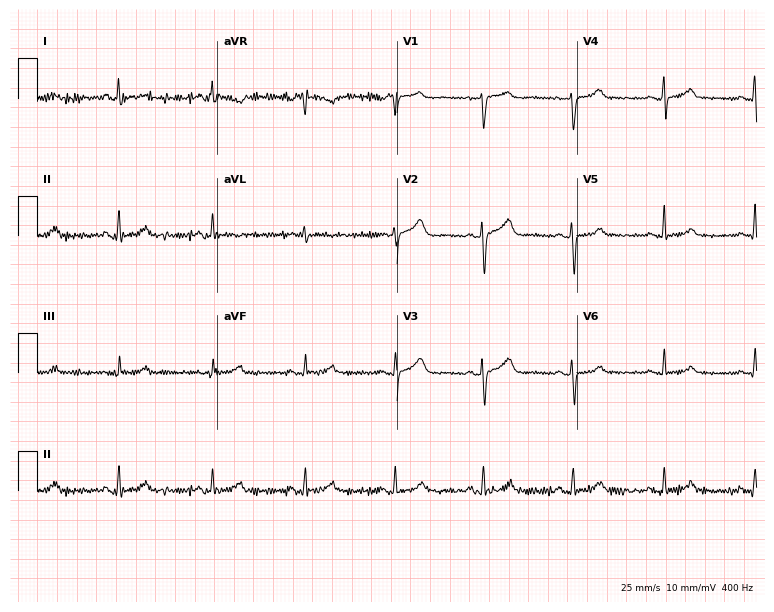
12-lead ECG from a female, 53 years old. Labelled as a normal ECG.